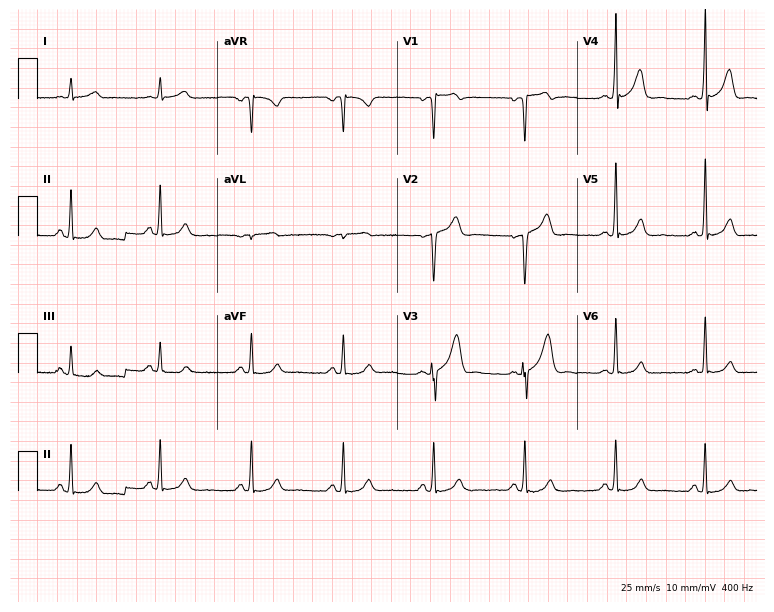
Electrocardiogram (7.3-second recording at 400 Hz), a male, 51 years old. Overall reading on record: normal ECG.